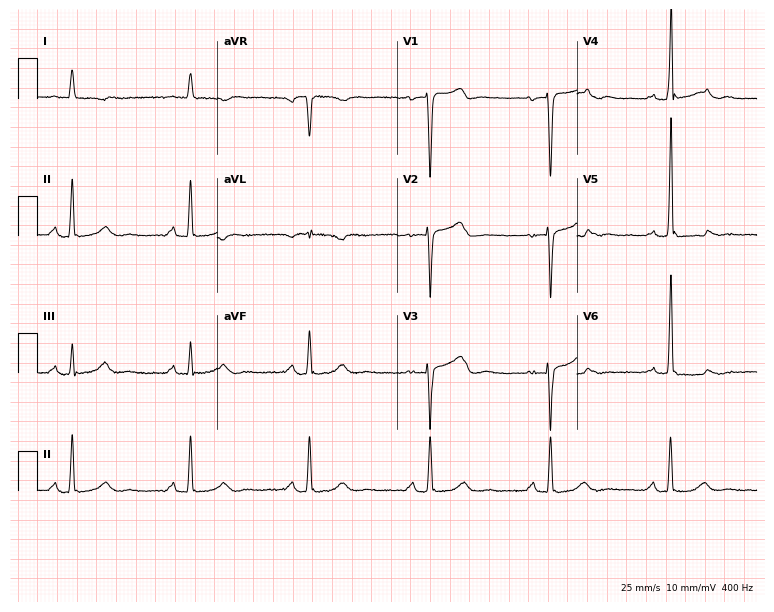
12-lead ECG from a 70-year-old man (7.3-second recording at 400 Hz). No first-degree AV block, right bundle branch block, left bundle branch block, sinus bradycardia, atrial fibrillation or sinus tachycardia recorded for this tracing. Findings outside these six are not listed.